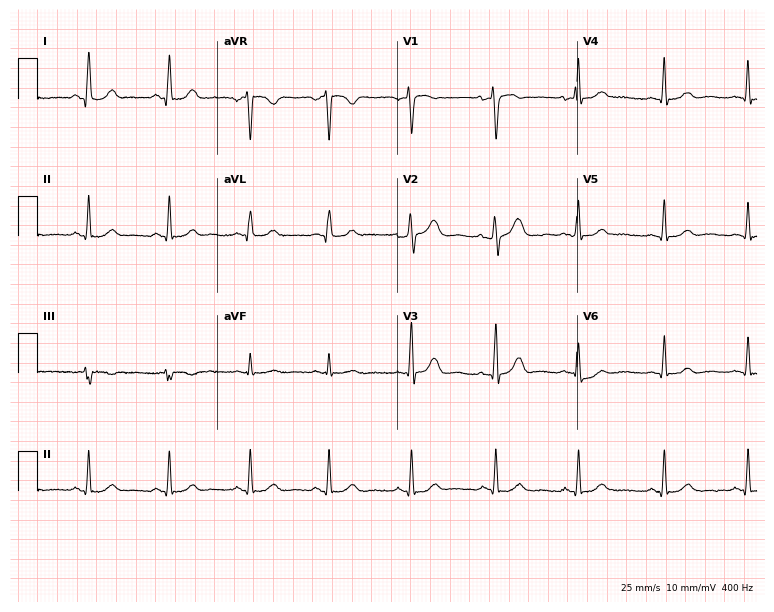
Electrocardiogram, a 40-year-old woman. Overall reading on record: normal ECG.